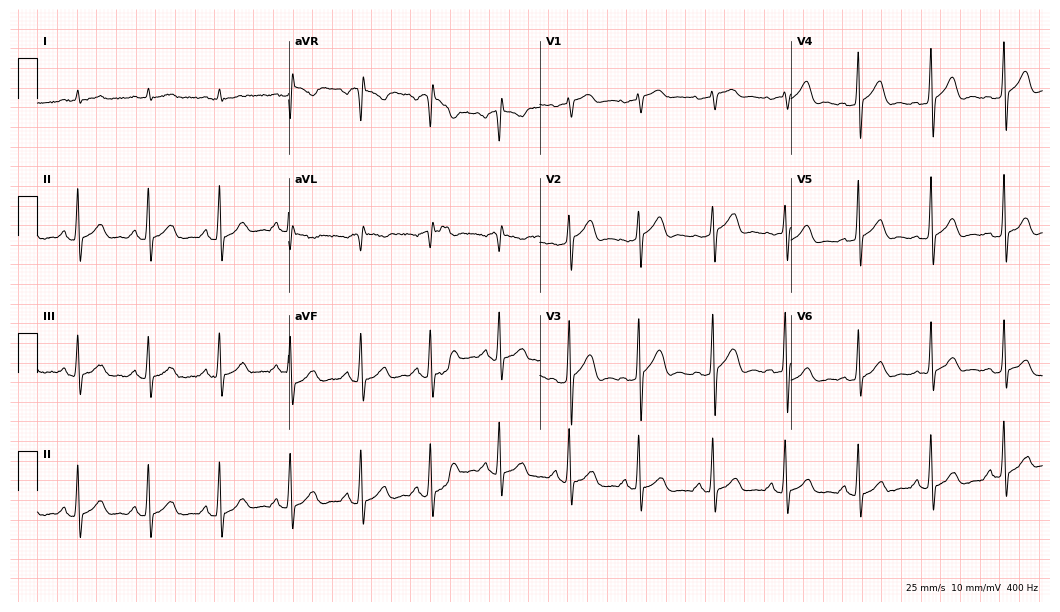
Resting 12-lead electrocardiogram (10.2-second recording at 400 Hz). Patient: a 58-year-old male. Read as a normal ECG.